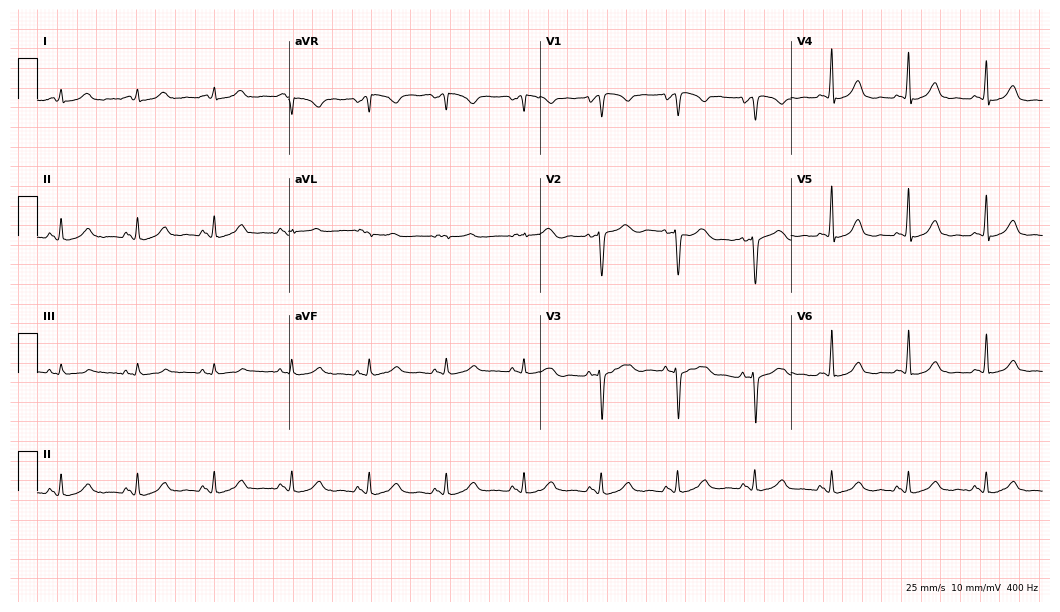
12-lead ECG from a female, 50 years old (10.2-second recording at 400 Hz). Recorded interpretation: within normal limits.